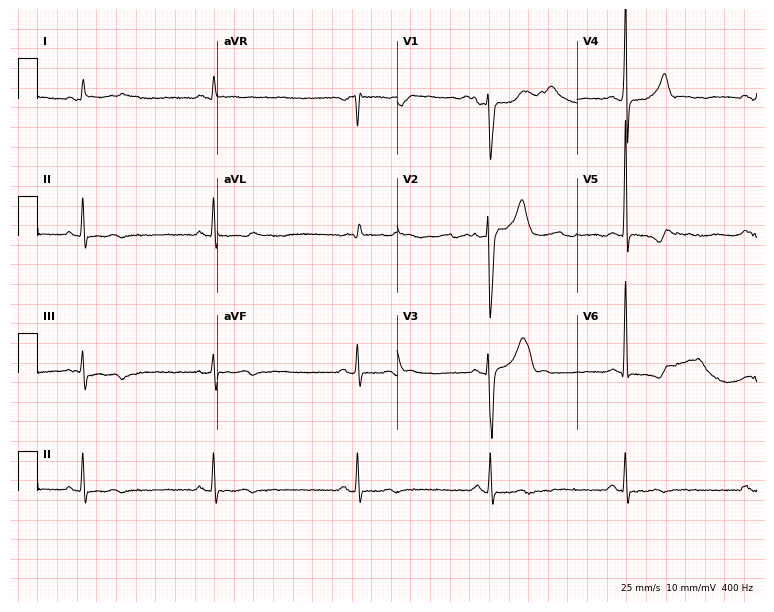
Resting 12-lead electrocardiogram (7.3-second recording at 400 Hz). Patient: a 59-year-old man. None of these six findings is recorded: first-degree AV block, right bundle branch block, left bundle branch block, sinus bradycardia, atrial fibrillation, sinus tachycardia. Other findings, if any, are not listed.